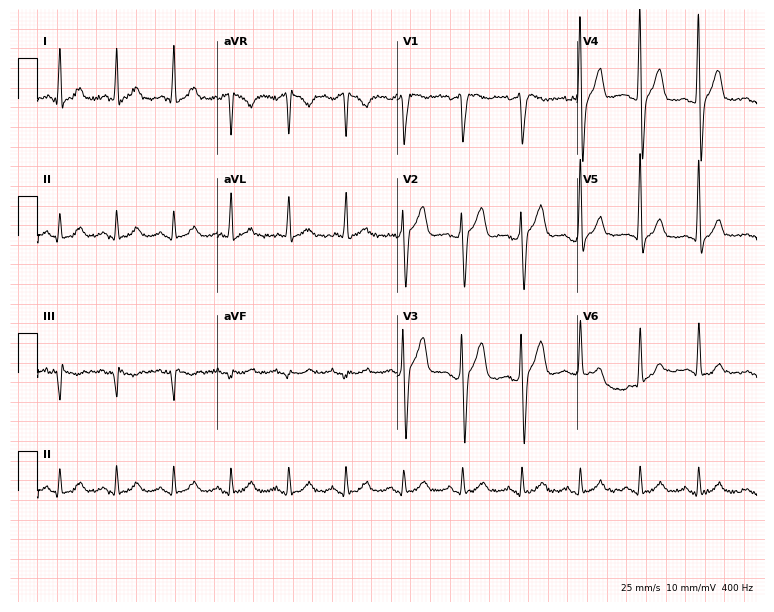
Standard 12-lead ECG recorded from a man, 55 years old (7.3-second recording at 400 Hz). The tracing shows sinus tachycardia (a sinus rate of 100 beats per minute or more).